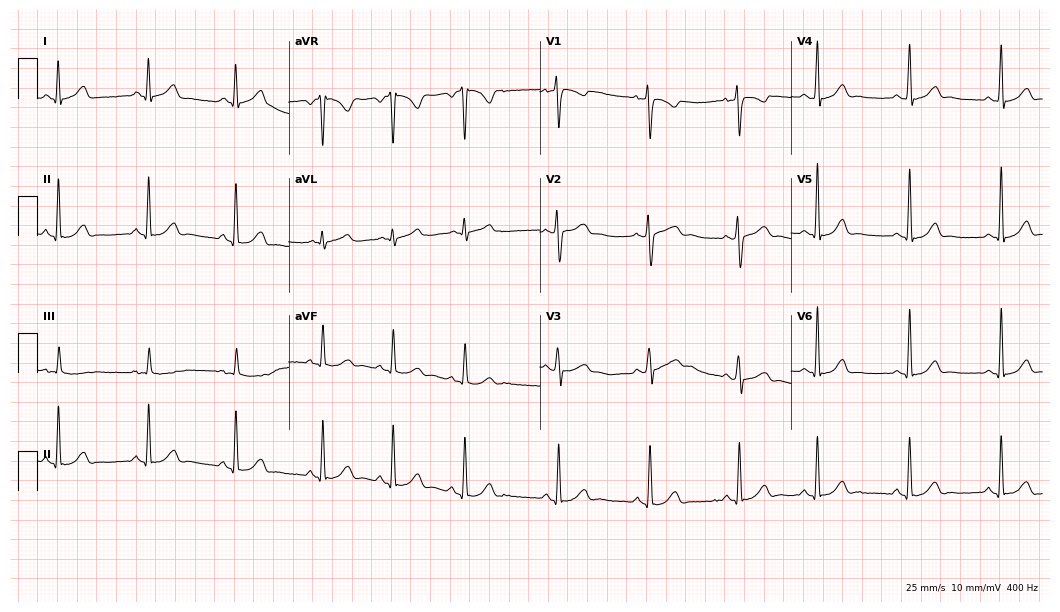
12-lead ECG from an 18-year-old female. Labelled as a normal ECG.